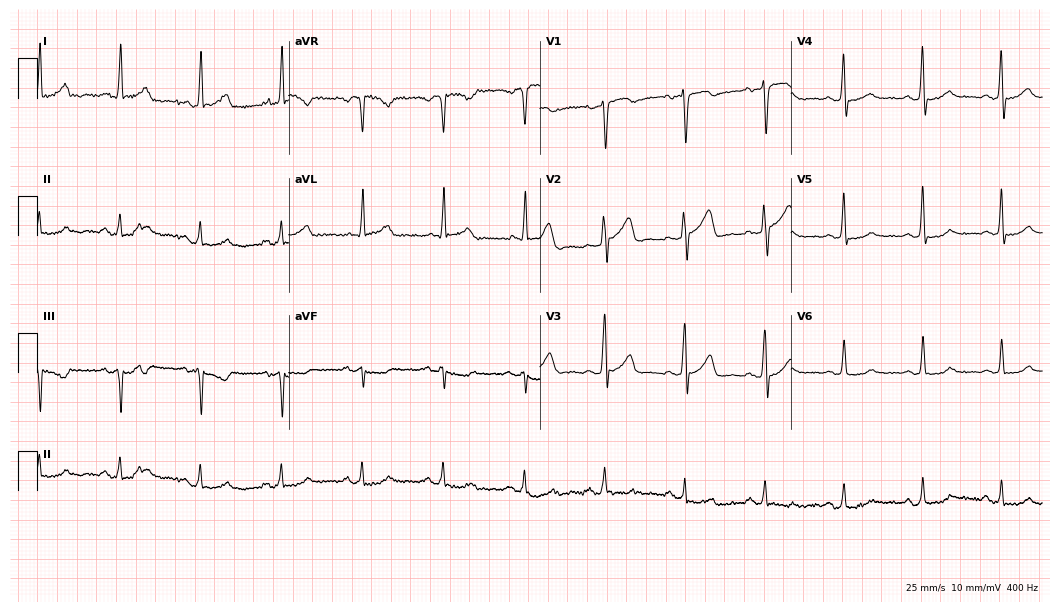
12-lead ECG from a male, 56 years old. Recorded interpretation: within normal limits.